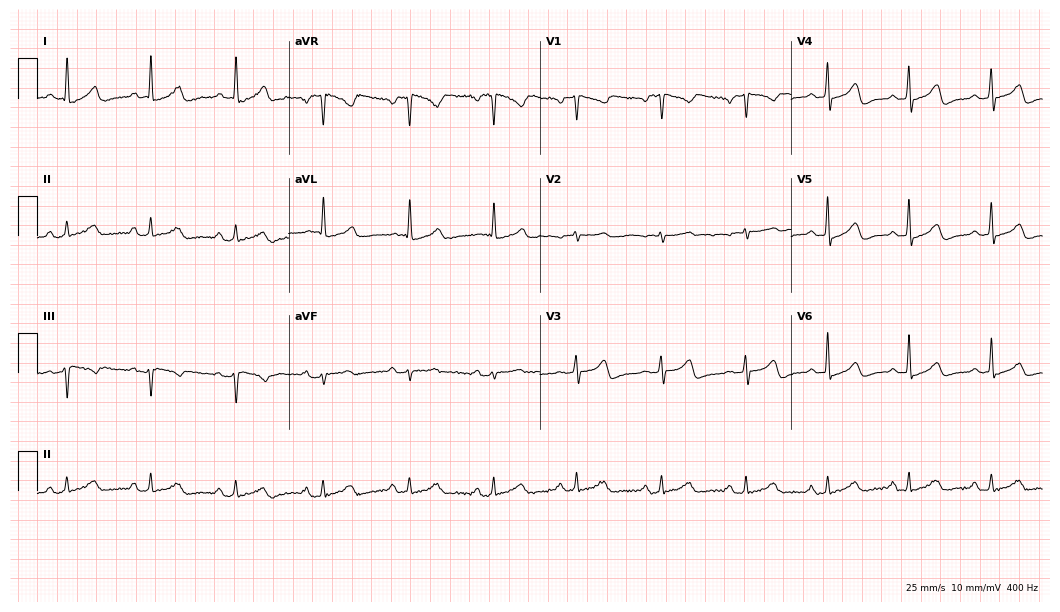
12-lead ECG from a 59-year-old female (10.2-second recording at 400 Hz). Recorded interpretation: within normal limits.